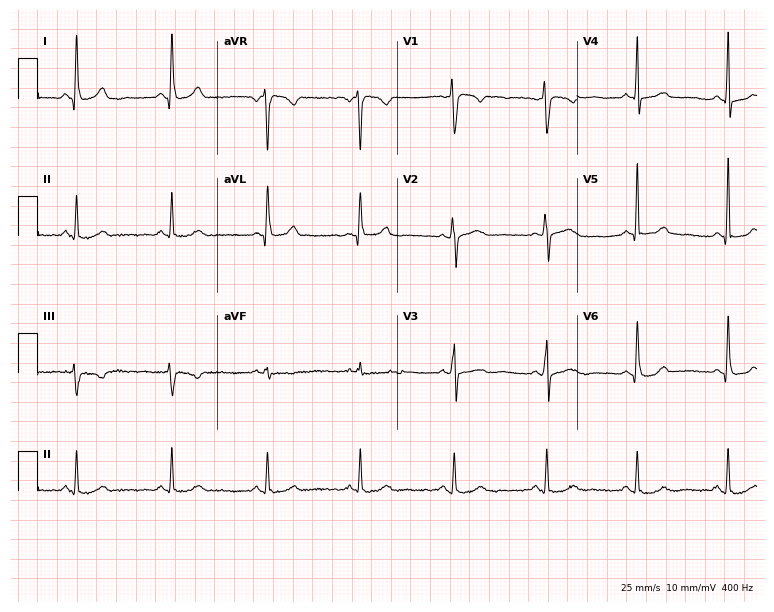
Standard 12-lead ECG recorded from a female, 53 years old. Read as a normal ECG.